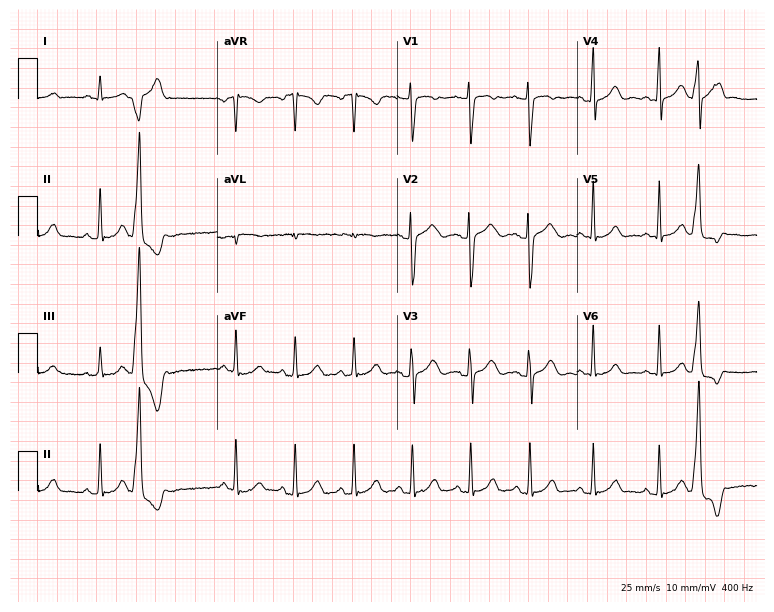
12-lead ECG (7.3-second recording at 400 Hz) from a female, 24 years old. Screened for six findings — first-degree AV block, right bundle branch block, left bundle branch block, sinus bradycardia, atrial fibrillation, sinus tachycardia — none is recorded.